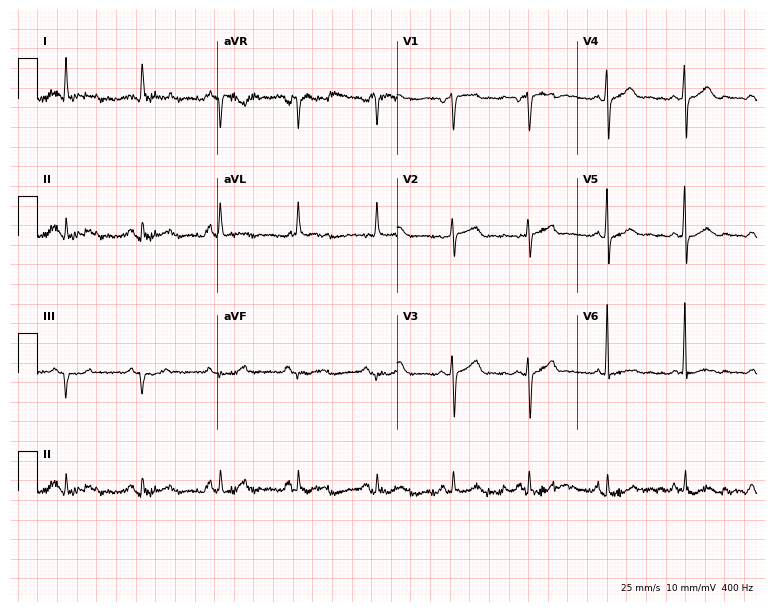
Electrocardiogram (7.3-second recording at 400 Hz), a 75-year-old female patient. Of the six screened findings (first-degree AV block, right bundle branch block, left bundle branch block, sinus bradycardia, atrial fibrillation, sinus tachycardia), none is recorded. Other findings, if any, are not listed.